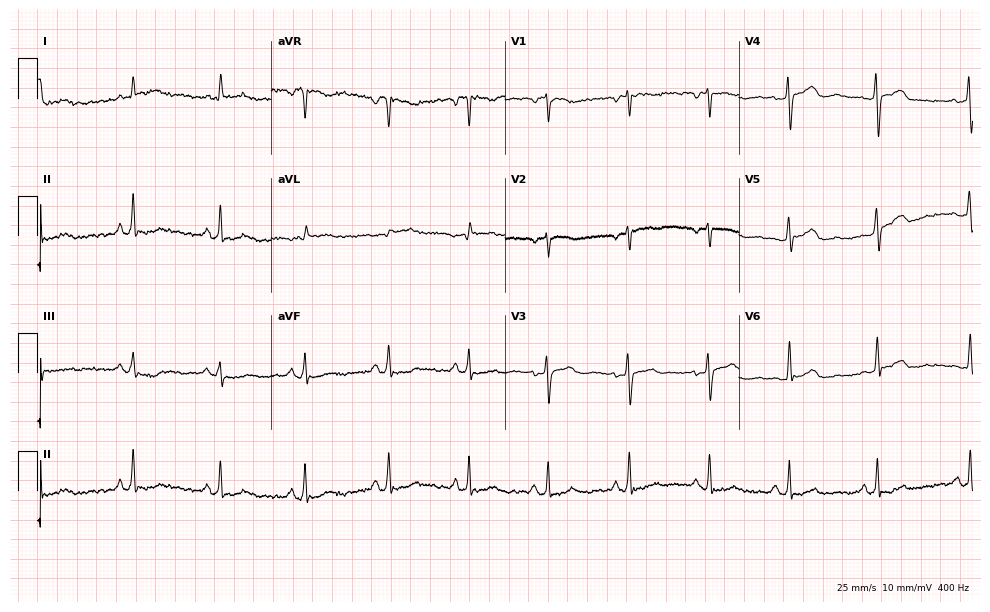
12-lead ECG from a 53-year-old female (9.5-second recording at 400 Hz). No first-degree AV block, right bundle branch block, left bundle branch block, sinus bradycardia, atrial fibrillation or sinus tachycardia recorded for this tracing.